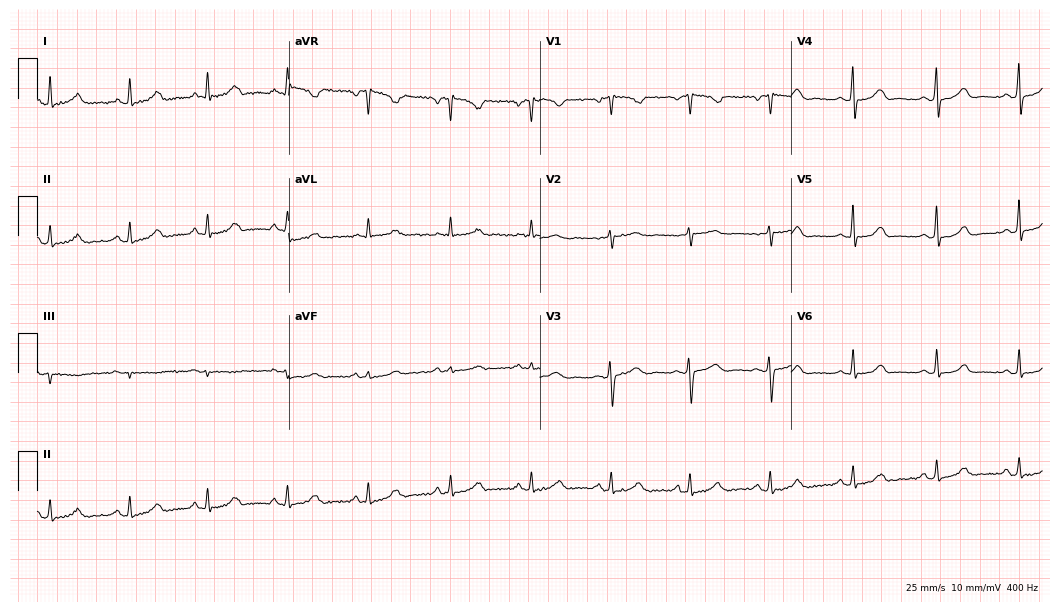
ECG — a 38-year-old female patient. Labelled as a normal ECG.